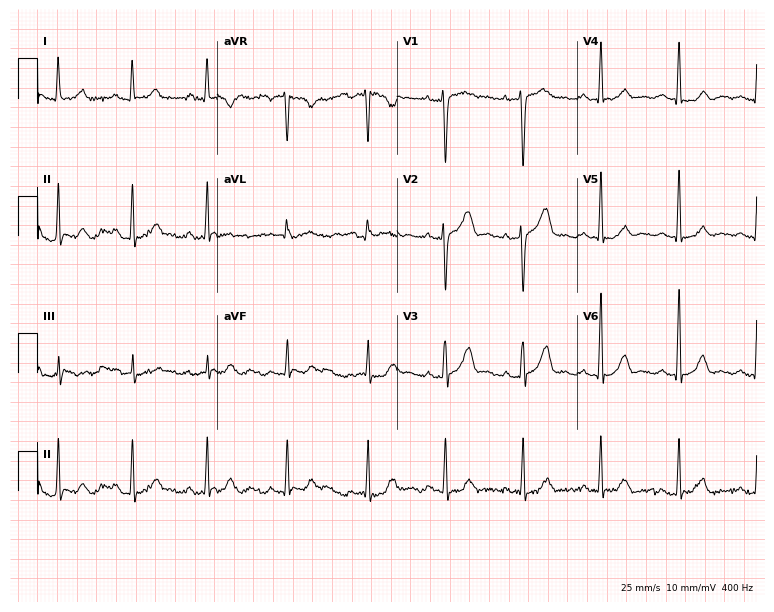
ECG — a woman, 28 years old. Screened for six findings — first-degree AV block, right bundle branch block, left bundle branch block, sinus bradycardia, atrial fibrillation, sinus tachycardia — none is recorded. Findings outside these six are not listed.